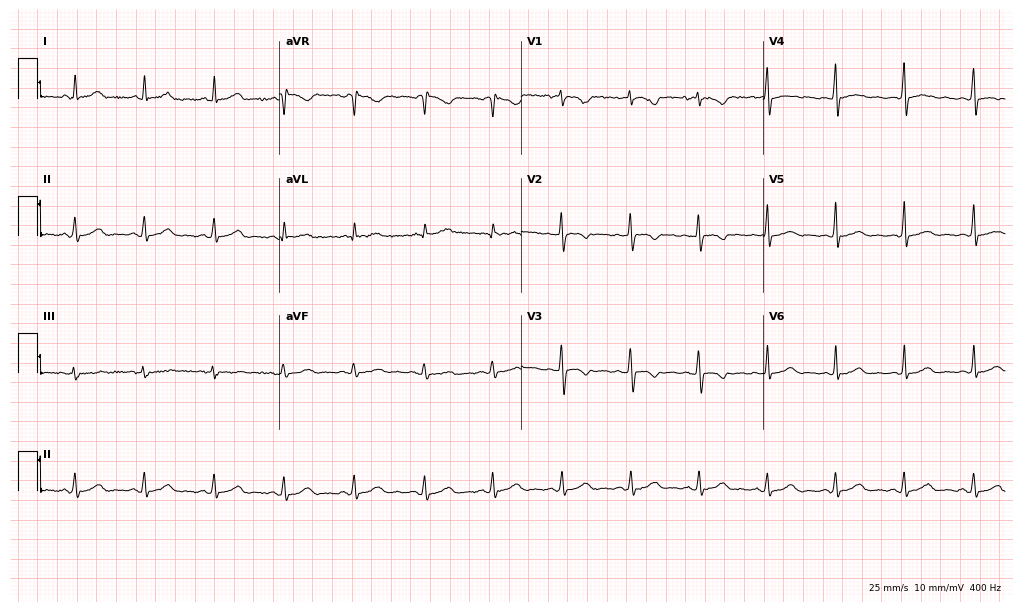
ECG — a female patient, 24 years old. Screened for six findings — first-degree AV block, right bundle branch block, left bundle branch block, sinus bradycardia, atrial fibrillation, sinus tachycardia — none is recorded.